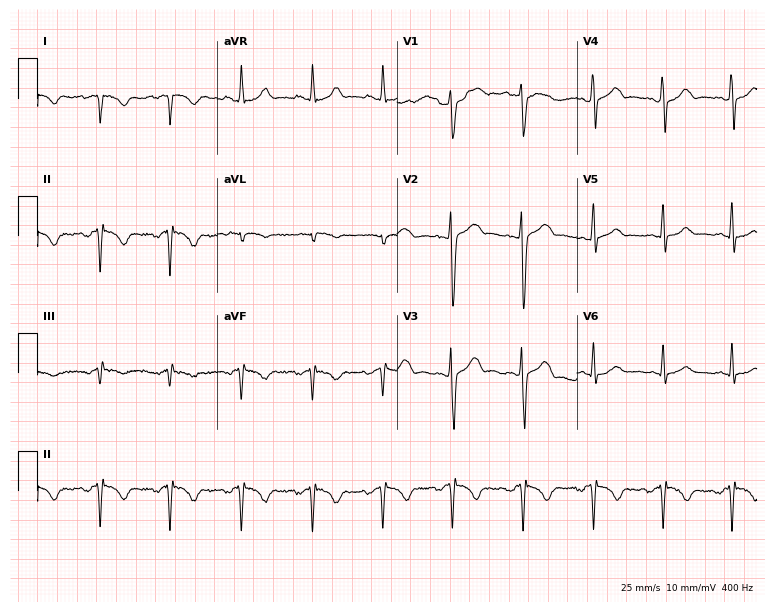
Standard 12-lead ECG recorded from a male, 64 years old. Read as a normal ECG.